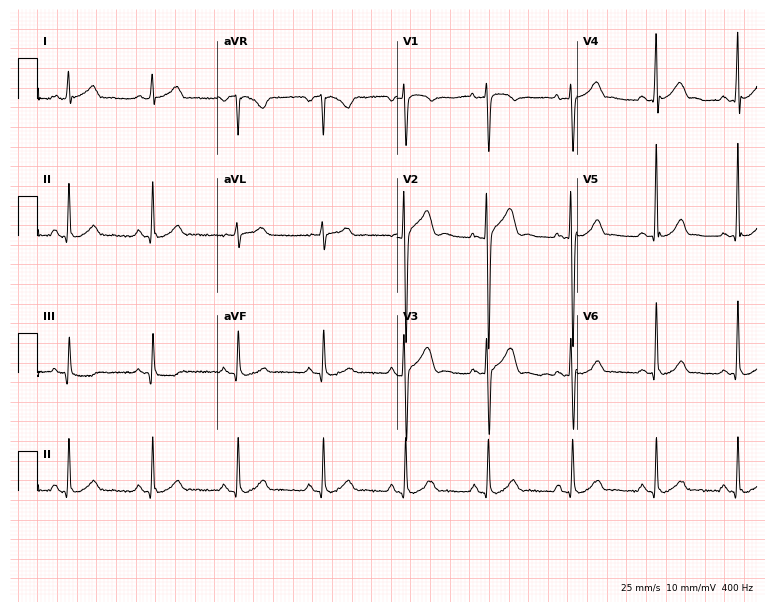
12-lead ECG from a male, 43 years old (7.3-second recording at 400 Hz). Recorded interpretation: within normal limits.